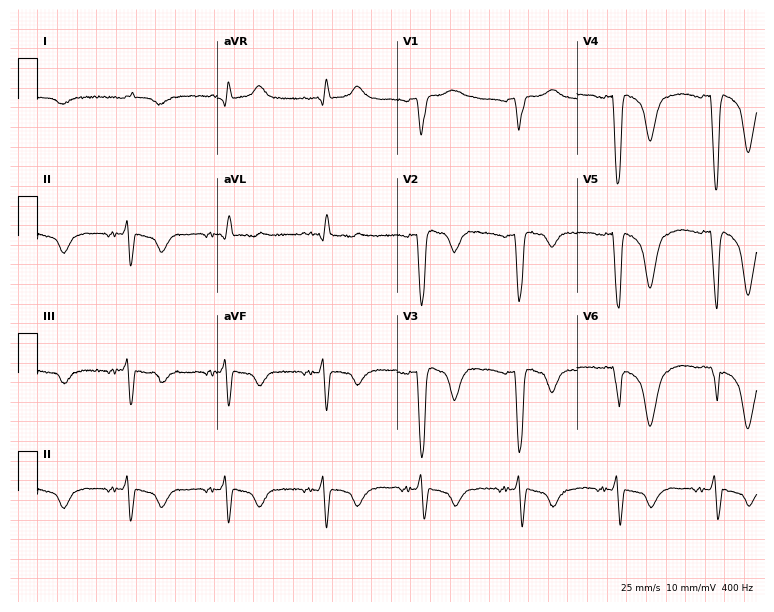
ECG (7.3-second recording at 400 Hz) — a 75-year-old male patient. Screened for six findings — first-degree AV block, right bundle branch block, left bundle branch block, sinus bradycardia, atrial fibrillation, sinus tachycardia — none is recorded.